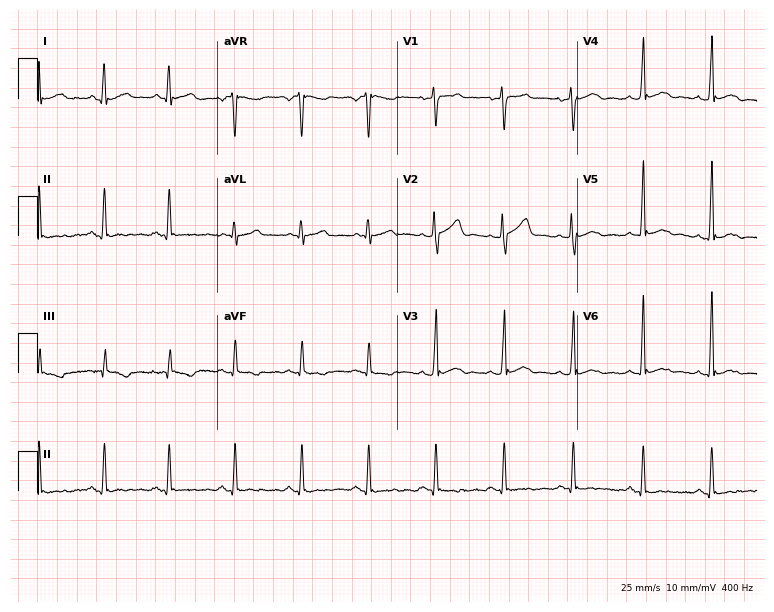
Electrocardiogram, a 41-year-old male patient. Overall reading on record: normal ECG.